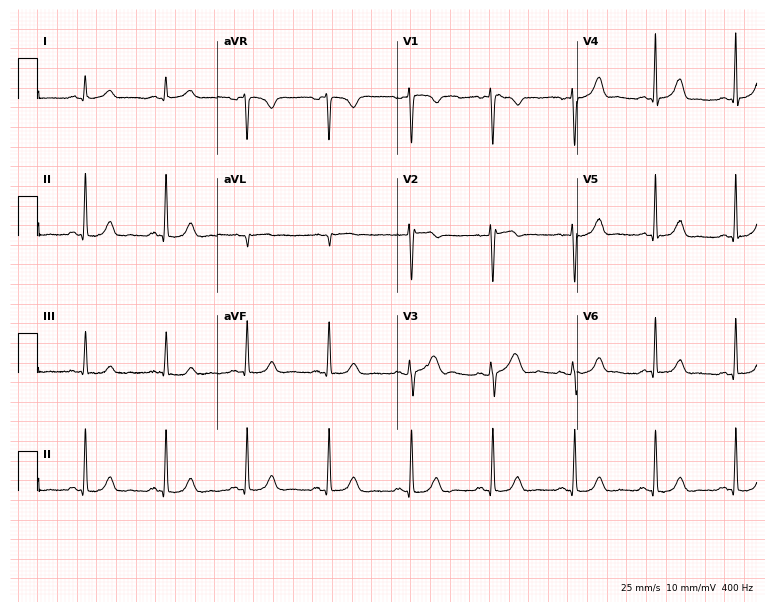
Standard 12-lead ECG recorded from a female patient, 30 years old (7.3-second recording at 400 Hz). Read as a normal ECG.